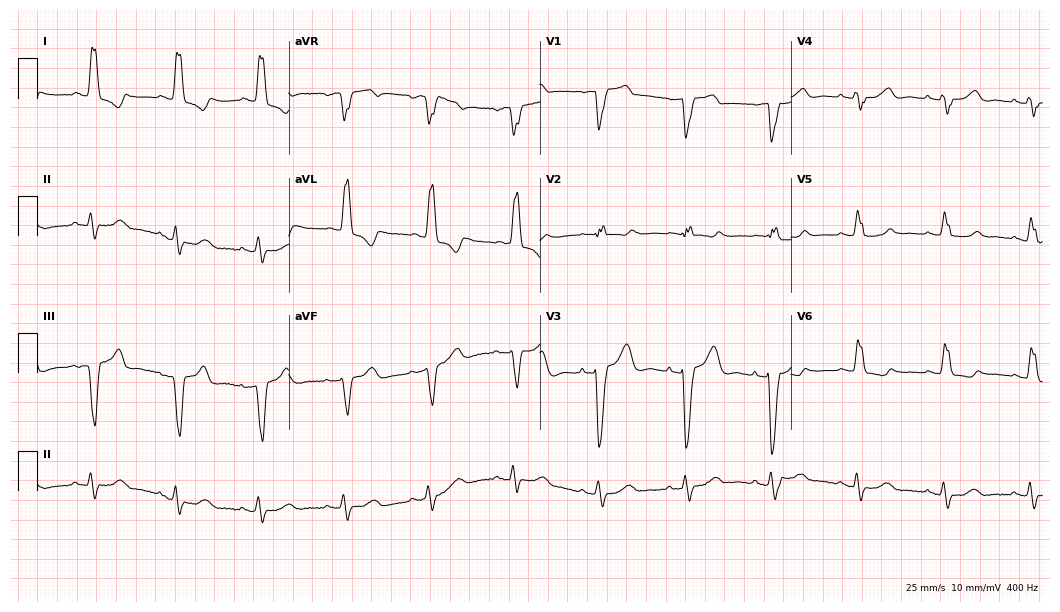
ECG — an 85-year-old female patient. Findings include left bundle branch block (LBBB).